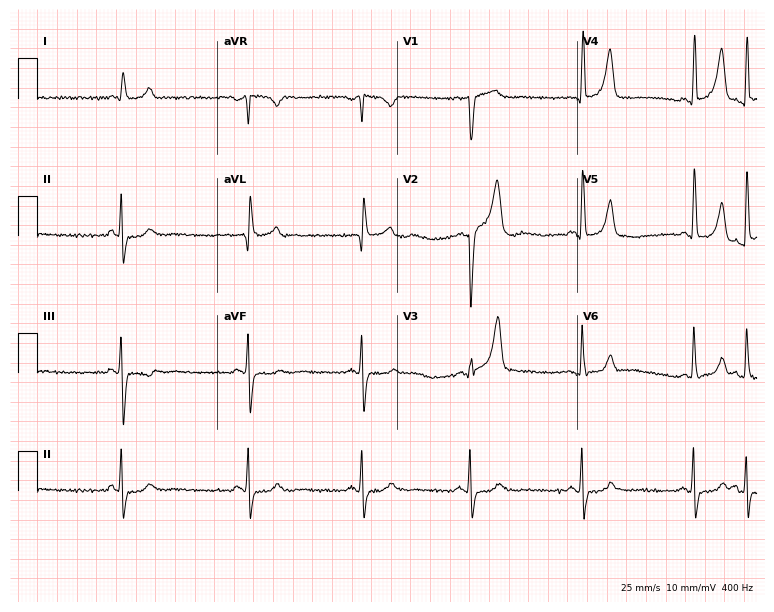
Standard 12-lead ECG recorded from a 71-year-old man. None of these six findings is recorded: first-degree AV block, right bundle branch block (RBBB), left bundle branch block (LBBB), sinus bradycardia, atrial fibrillation (AF), sinus tachycardia.